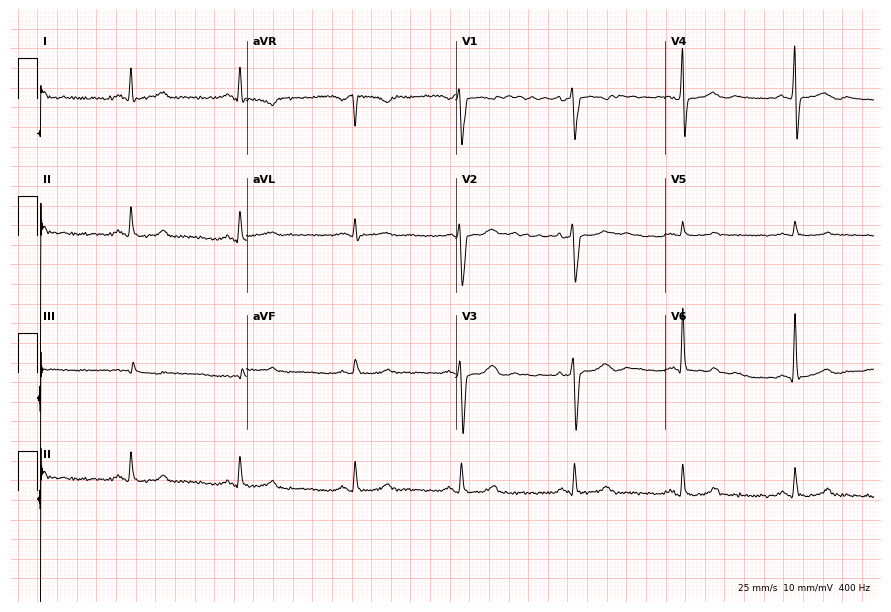
12-lead ECG from a 42-year-old male (8.5-second recording at 400 Hz). Recorded interpretation: within normal limits.